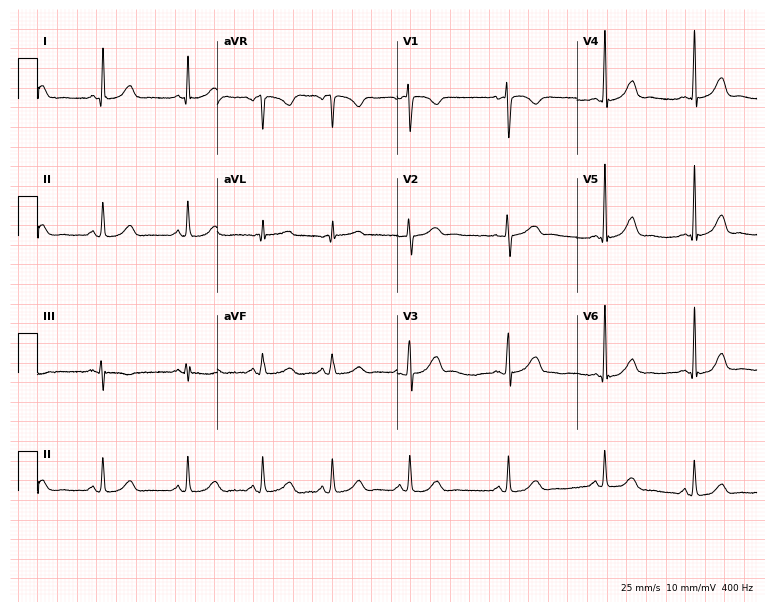
Standard 12-lead ECG recorded from a female, 41 years old. Read as a normal ECG.